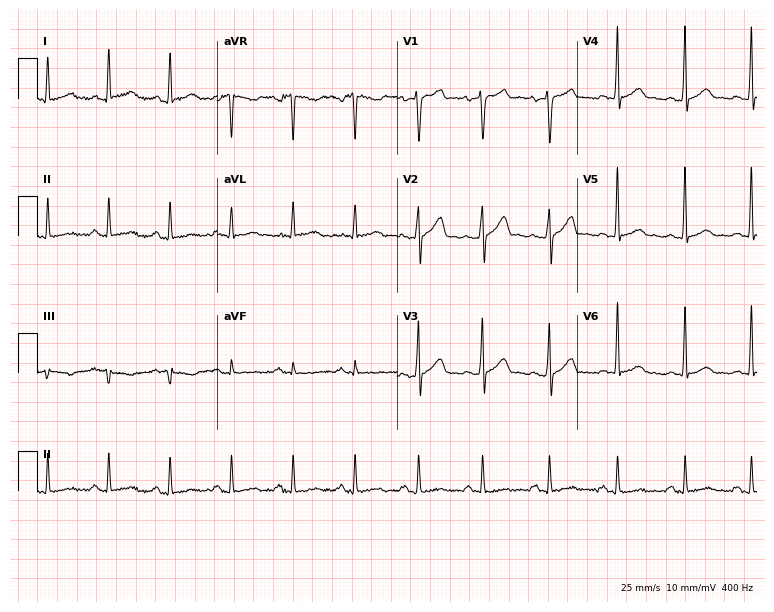
12-lead ECG (7.3-second recording at 400 Hz) from a male patient, 30 years old. Screened for six findings — first-degree AV block, right bundle branch block (RBBB), left bundle branch block (LBBB), sinus bradycardia, atrial fibrillation (AF), sinus tachycardia — none is recorded. Other findings, if any, are not listed.